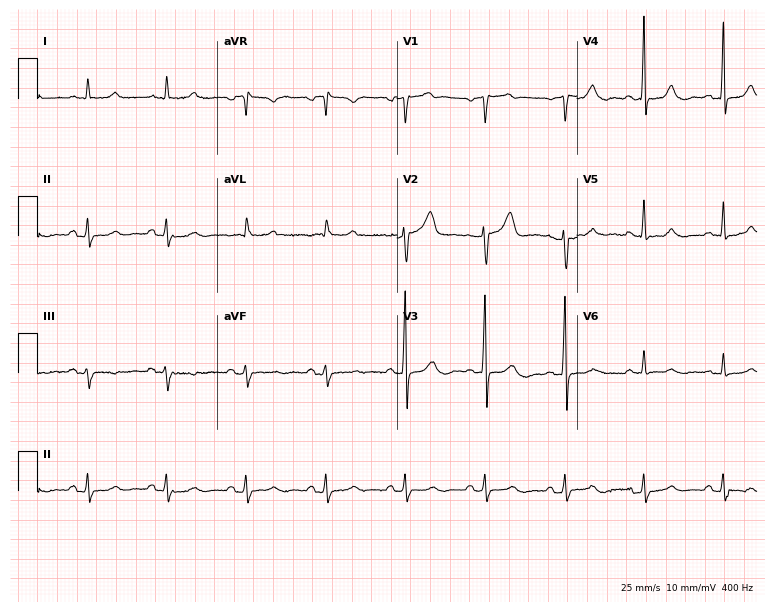
Resting 12-lead electrocardiogram (7.3-second recording at 400 Hz). Patient: a man, 69 years old. Read as a normal ECG.